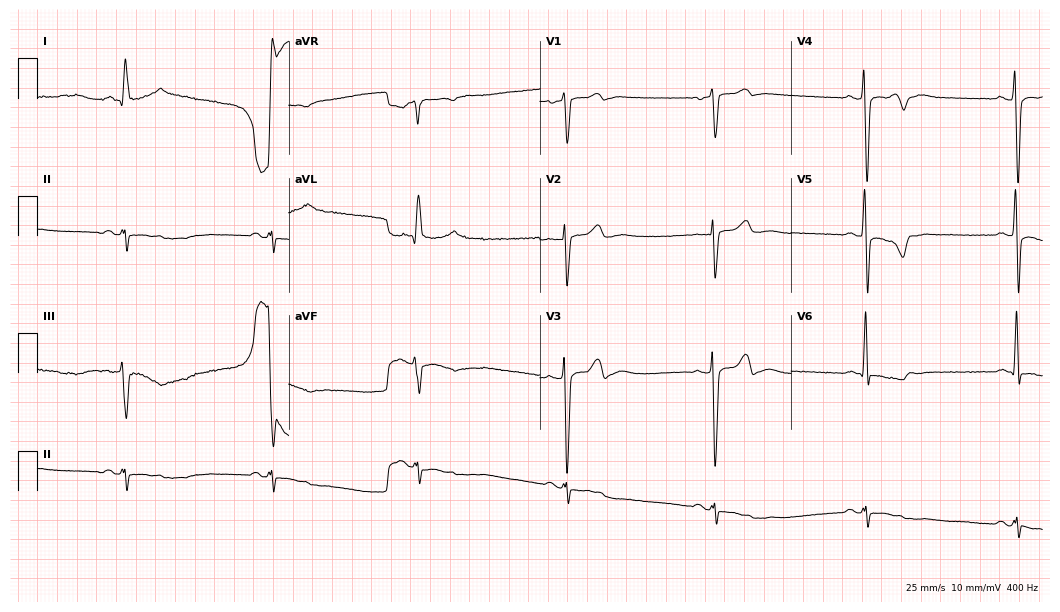
Electrocardiogram, a 62-year-old male. Of the six screened findings (first-degree AV block, right bundle branch block, left bundle branch block, sinus bradycardia, atrial fibrillation, sinus tachycardia), none is recorded. Only these six findings were labelled.